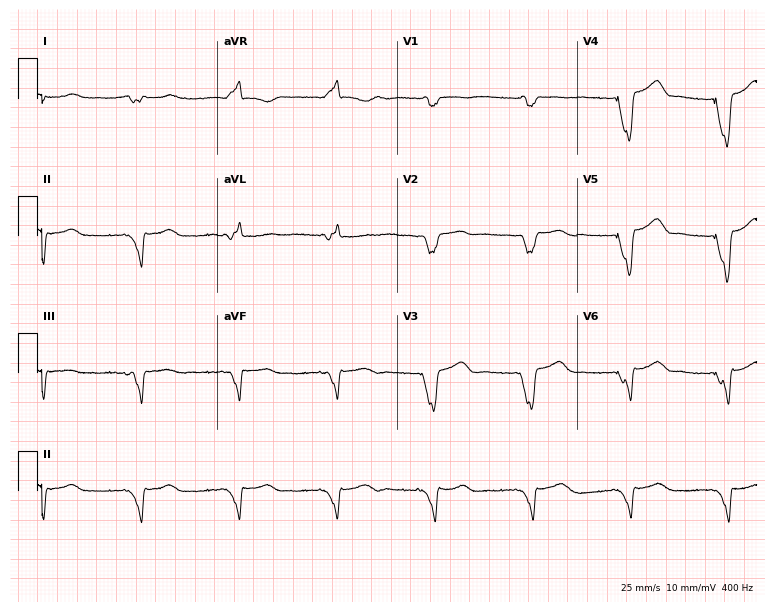
Resting 12-lead electrocardiogram. Patient: a 46-year-old woman. None of these six findings is recorded: first-degree AV block, right bundle branch block (RBBB), left bundle branch block (LBBB), sinus bradycardia, atrial fibrillation (AF), sinus tachycardia.